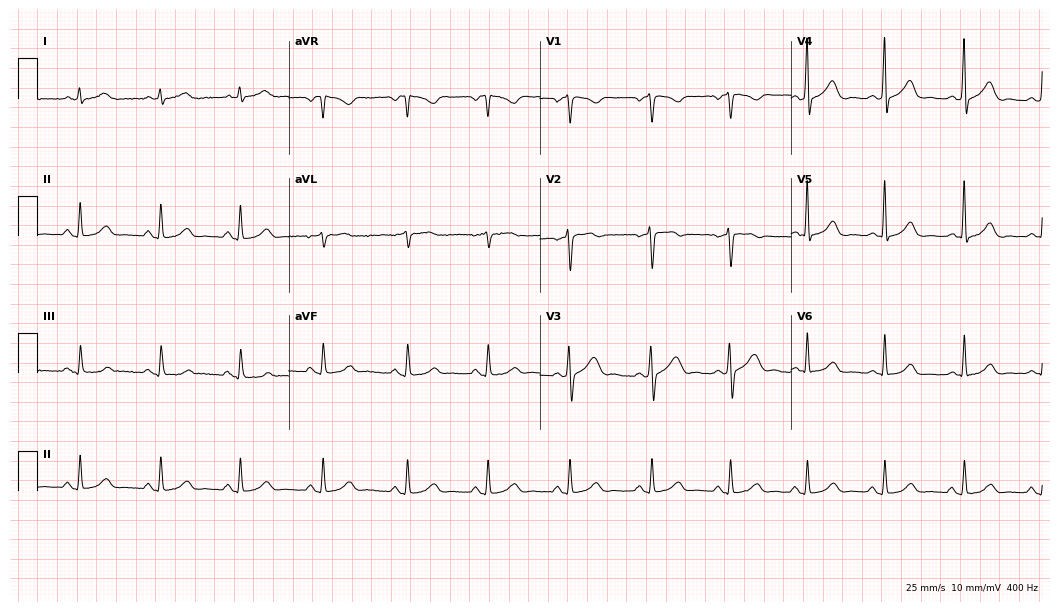
12-lead ECG from a 44-year-old female patient (10.2-second recording at 400 Hz). No first-degree AV block, right bundle branch block (RBBB), left bundle branch block (LBBB), sinus bradycardia, atrial fibrillation (AF) or sinus tachycardia recorded for this tracing. Other findings, if any, are not listed.